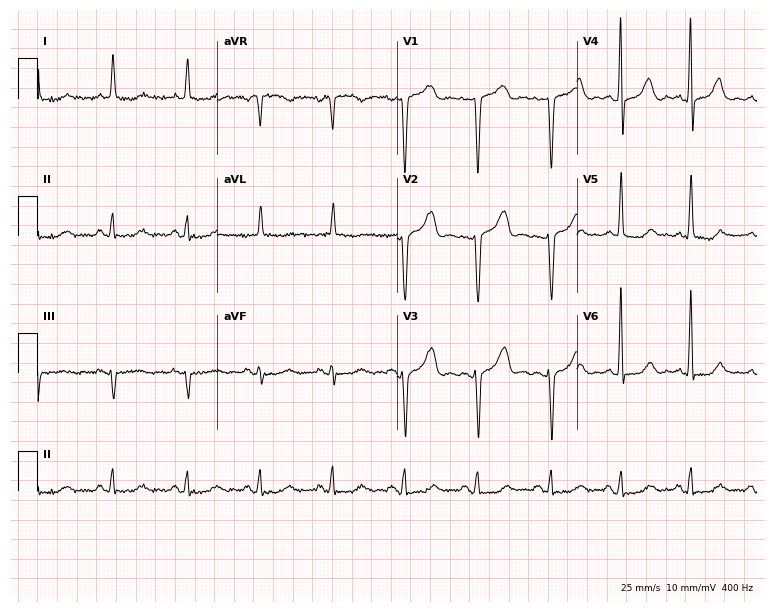
Resting 12-lead electrocardiogram. Patient: a female, 58 years old. None of these six findings is recorded: first-degree AV block, right bundle branch block (RBBB), left bundle branch block (LBBB), sinus bradycardia, atrial fibrillation (AF), sinus tachycardia. Findings outside these six are not listed.